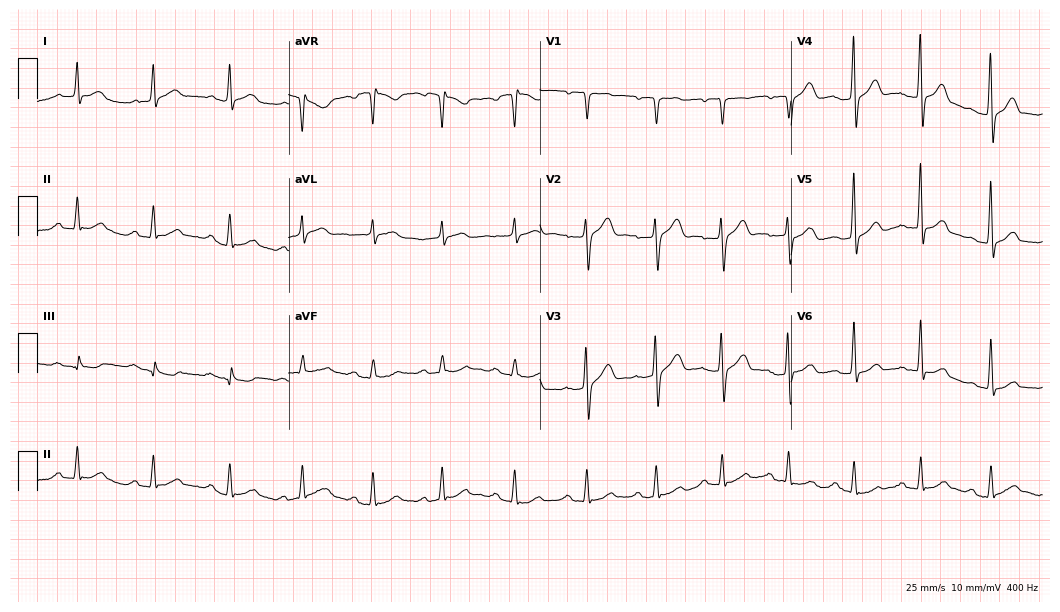
ECG (10.2-second recording at 400 Hz) — a male, 44 years old. Labelled as a normal ECG.